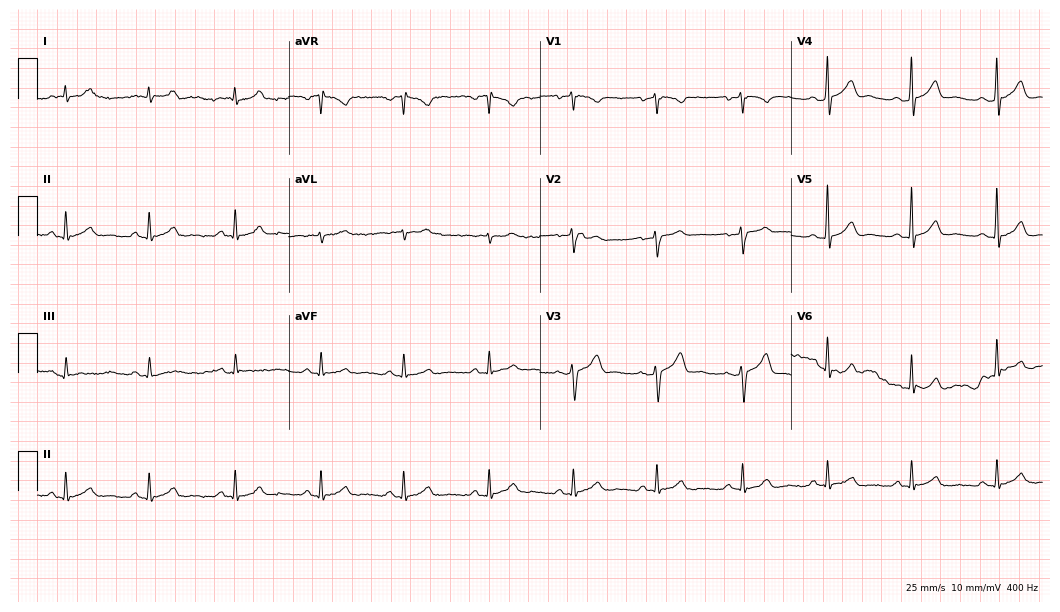
ECG (10.2-second recording at 400 Hz) — a 31-year-old man. Labelled as a normal ECG.